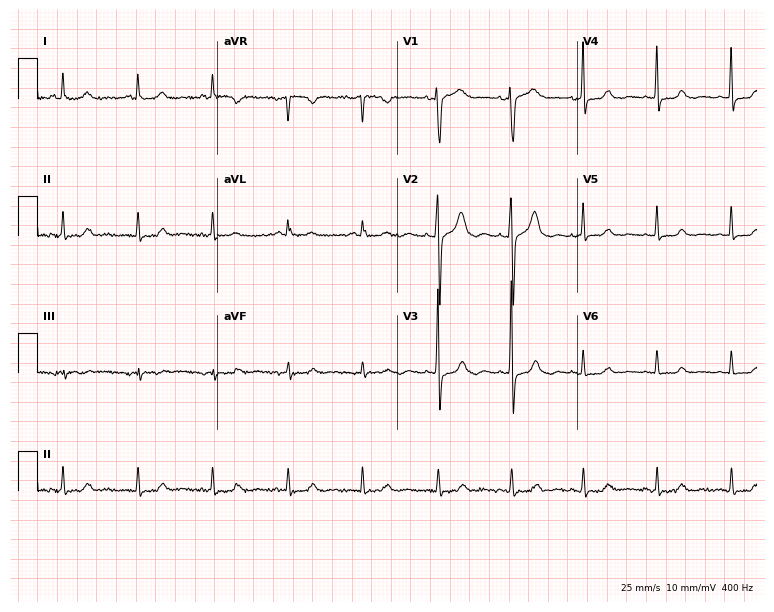
Resting 12-lead electrocardiogram (7.3-second recording at 400 Hz). Patient: a female, 74 years old. None of these six findings is recorded: first-degree AV block, right bundle branch block, left bundle branch block, sinus bradycardia, atrial fibrillation, sinus tachycardia.